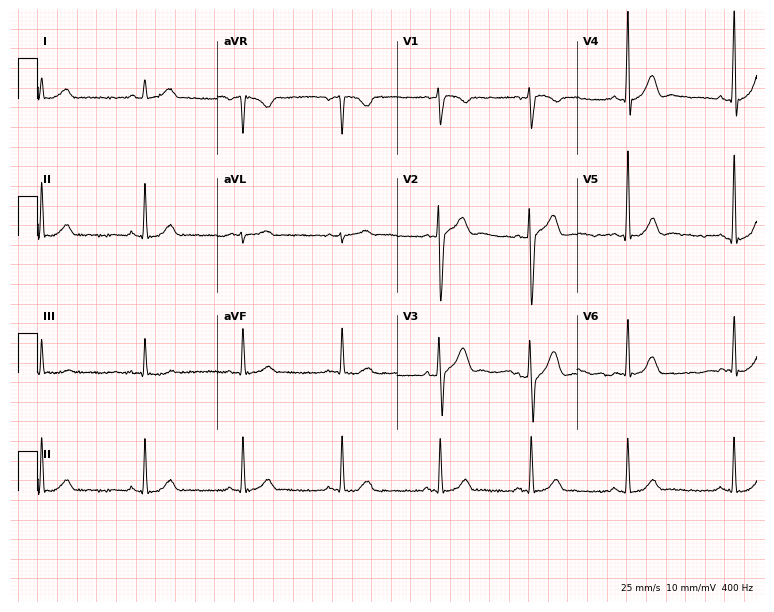
12-lead ECG from a male patient, 34 years old. Recorded interpretation: within normal limits.